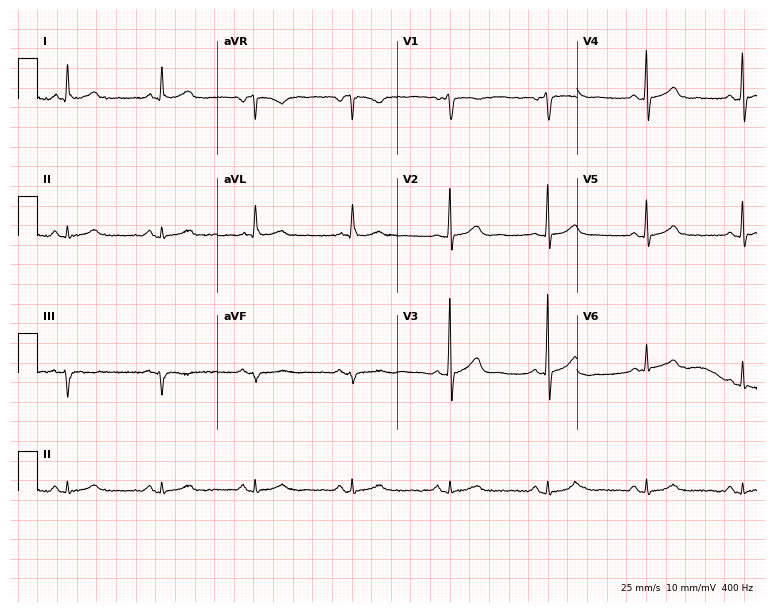
Standard 12-lead ECG recorded from a 76-year-old female patient (7.3-second recording at 400 Hz). None of these six findings is recorded: first-degree AV block, right bundle branch block, left bundle branch block, sinus bradycardia, atrial fibrillation, sinus tachycardia.